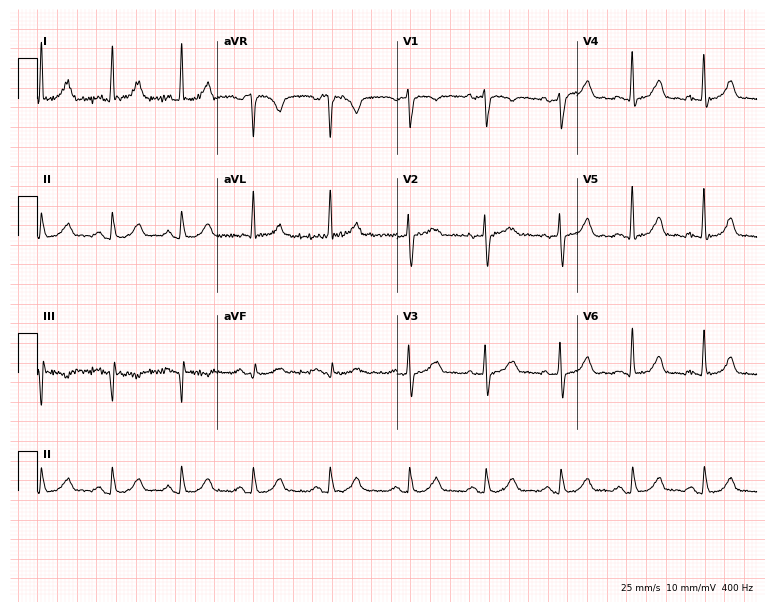
Standard 12-lead ECG recorded from a female patient, 38 years old (7.3-second recording at 400 Hz). None of these six findings is recorded: first-degree AV block, right bundle branch block, left bundle branch block, sinus bradycardia, atrial fibrillation, sinus tachycardia.